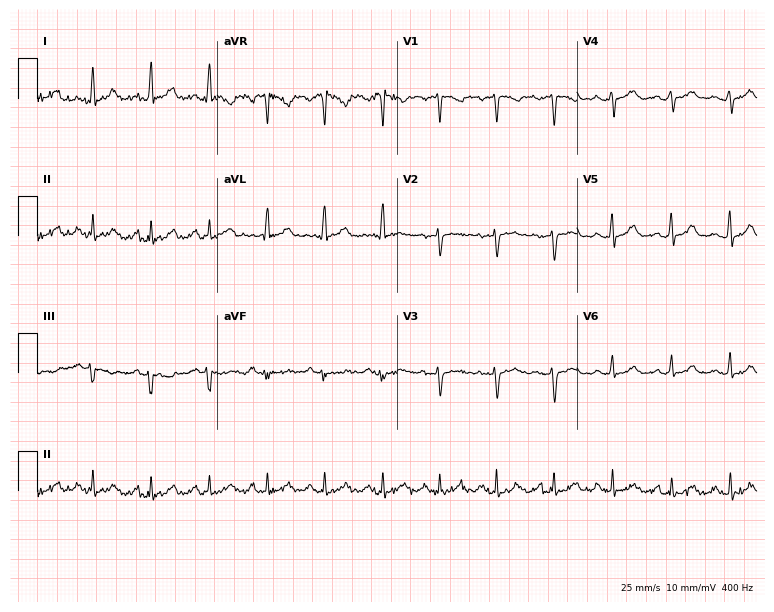
12-lead ECG from a 32-year-old woman (7.3-second recording at 400 Hz). Shows sinus tachycardia (a sinus rate of 100 beats per minute or more).